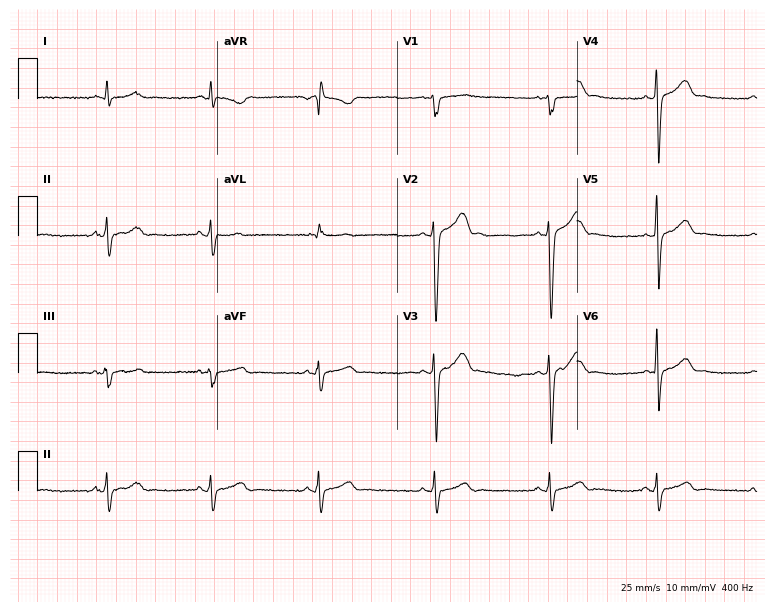
12-lead ECG from a 24-year-old male (7.3-second recording at 400 Hz). No first-degree AV block, right bundle branch block (RBBB), left bundle branch block (LBBB), sinus bradycardia, atrial fibrillation (AF) or sinus tachycardia recorded for this tracing.